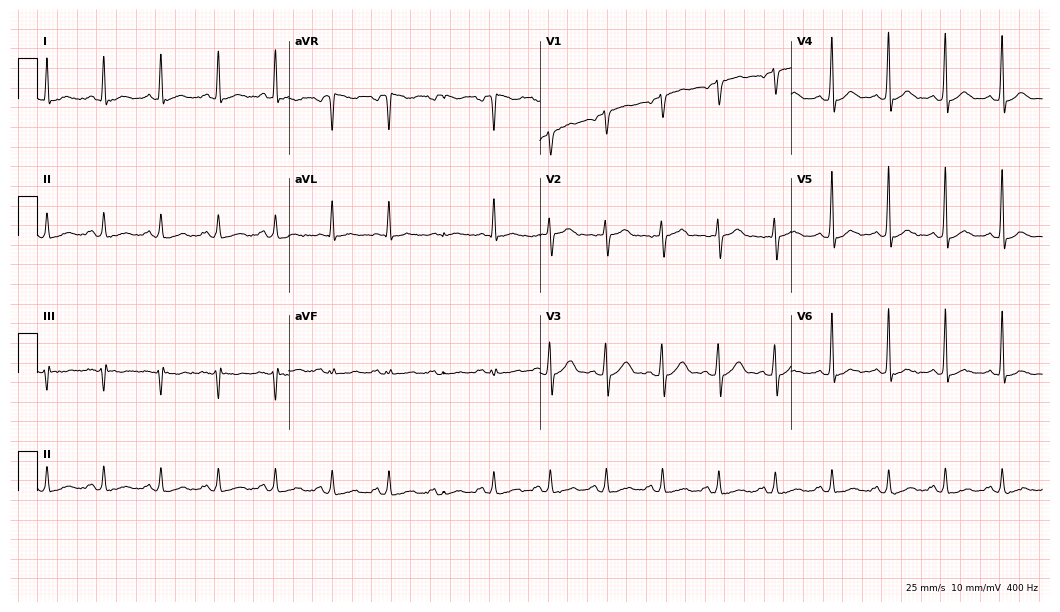
Resting 12-lead electrocardiogram (10.2-second recording at 400 Hz). Patient: a male, 53 years old. None of these six findings is recorded: first-degree AV block, right bundle branch block, left bundle branch block, sinus bradycardia, atrial fibrillation, sinus tachycardia.